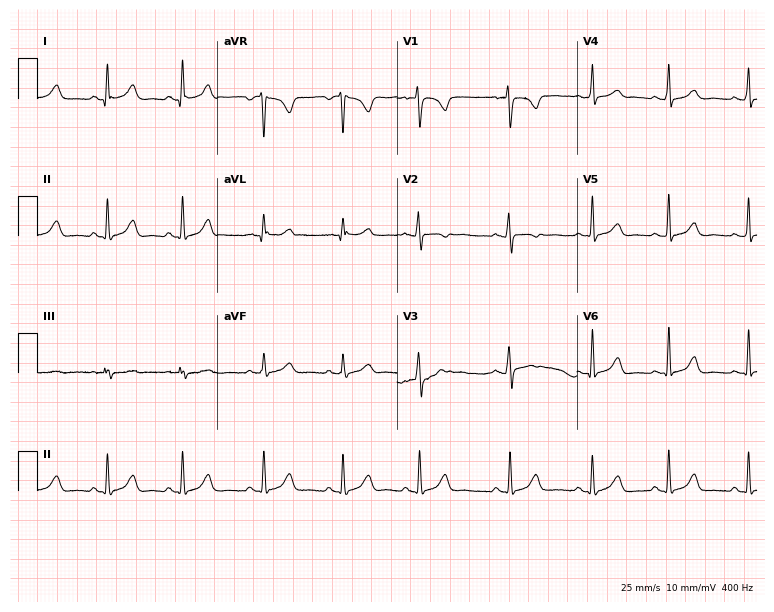
Standard 12-lead ECG recorded from a 25-year-old female (7.3-second recording at 400 Hz). None of these six findings is recorded: first-degree AV block, right bundle branch block, left bundle branch block, sinus bradycardia, atrial fibrillation, sinus tachycardia. Only these six findings were labelled.